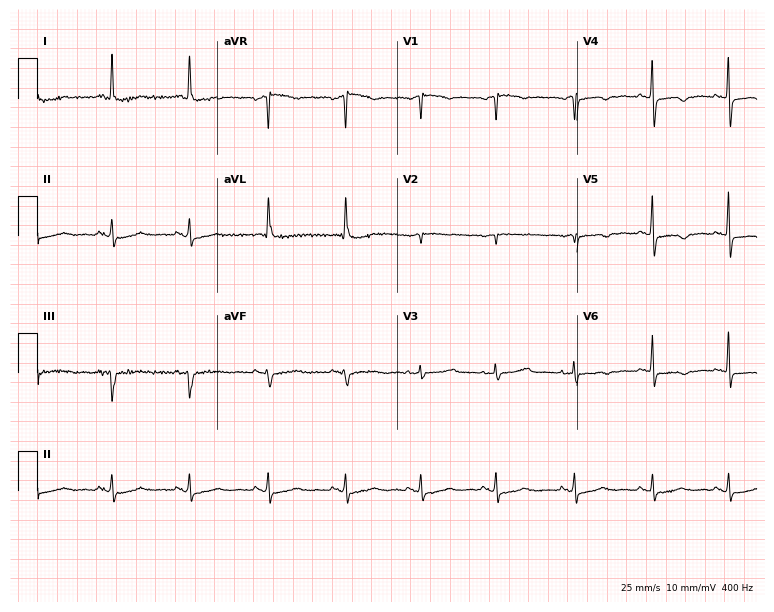
12-lead ECG from a female, 82 years old. Screened for six findings — first-degree AV block, right bundle branch block (RBBB), left bundle branch block (LBBB), sinus bradycardia, atrial fibrillation (AF), sinus tachycardia — none is recorded. Other findings, if any, are not listed.